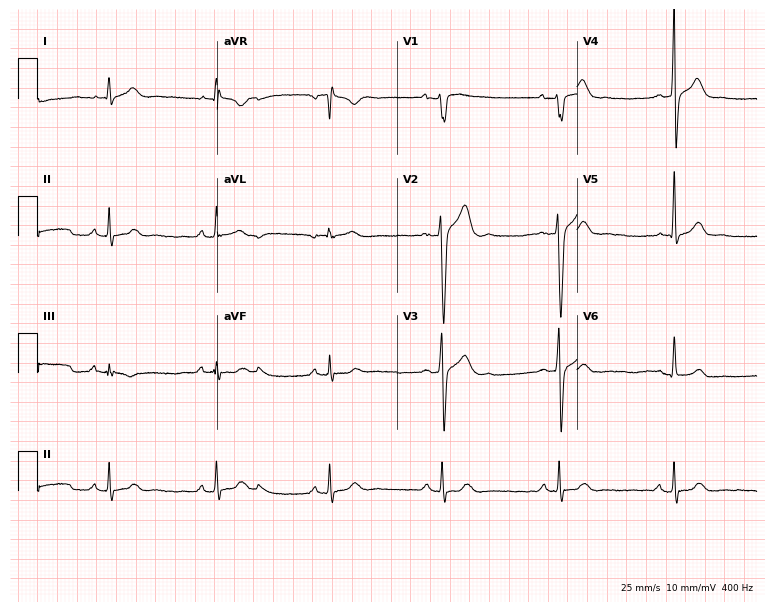
Electrocardiogram, a 26-year-old male patient. Overall reading on record: normal ECG.